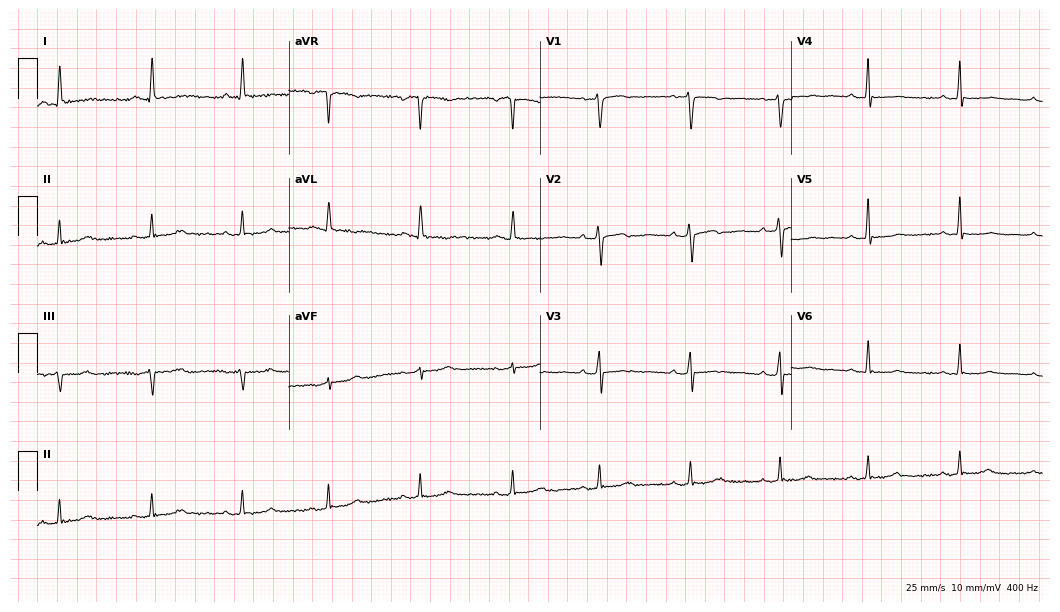
12-lead ECG from a female patient, 57 years old. No first-degree AV block, right bundle branch block, left bundle branch block, sinus bradycardia, atrial fibrillation or sinus tachycardia recorded for this tracing. Only these six findings were labelled.